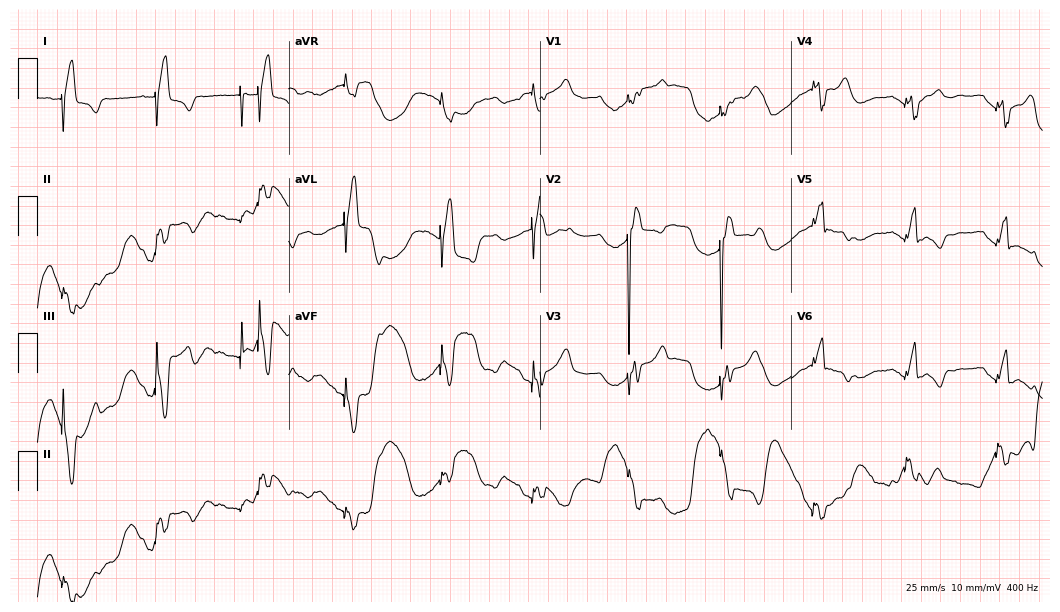
Electrocardiogram (10.2-second recording at 400 Hz), a 64-year-old male. Of the six screened findings (first-degree AV block, right bundle branch block, left bundle branch block, sinus bradycardia, atrial fibrillation, sinus tachycardia), none is recorded. Other findings, if any, are not listed.